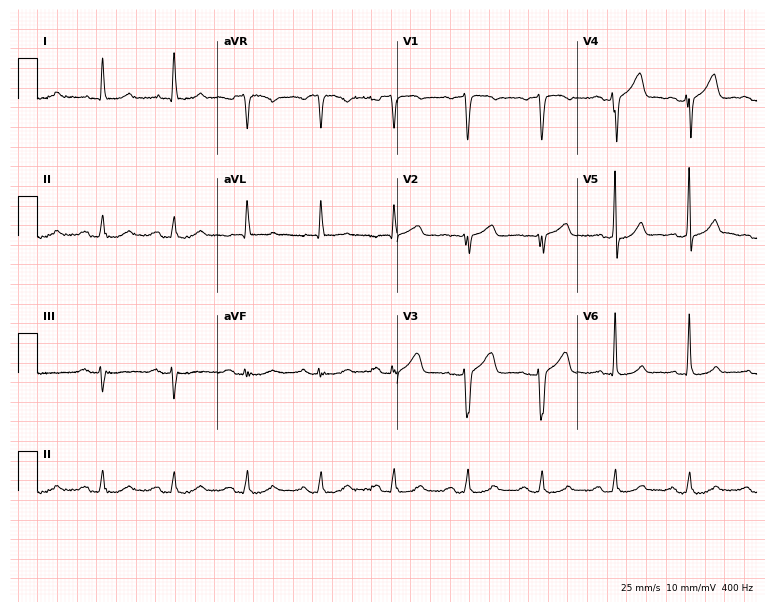
12-lead ECG (7.3-second recording at 400 Hz) from a woman, 78 years old. Screened for six findings — first-degree AV block, right bundle branch block, left bundle branch block, sinus bradycardia, atrial fibrillation, sinus tachycardia — none is recorded.